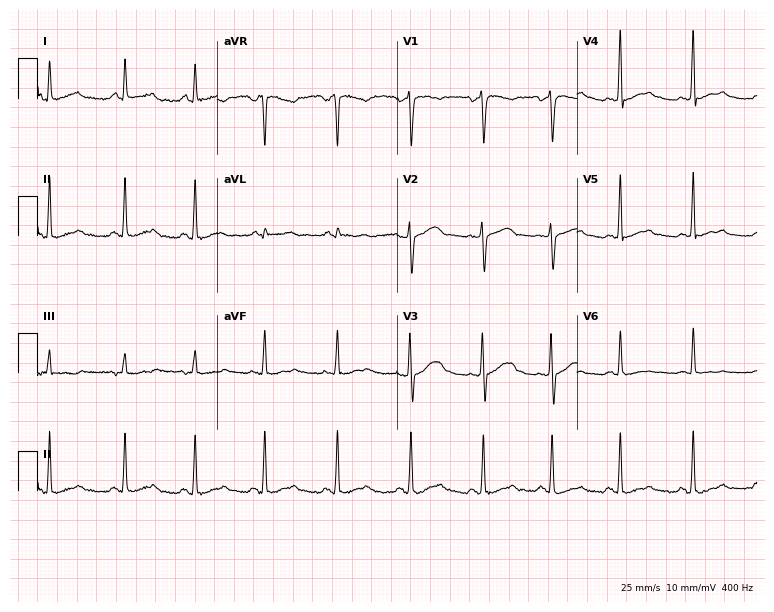
12-lead ECG from a female patient, 36 years old. Recorded interpretation: within normal limits.